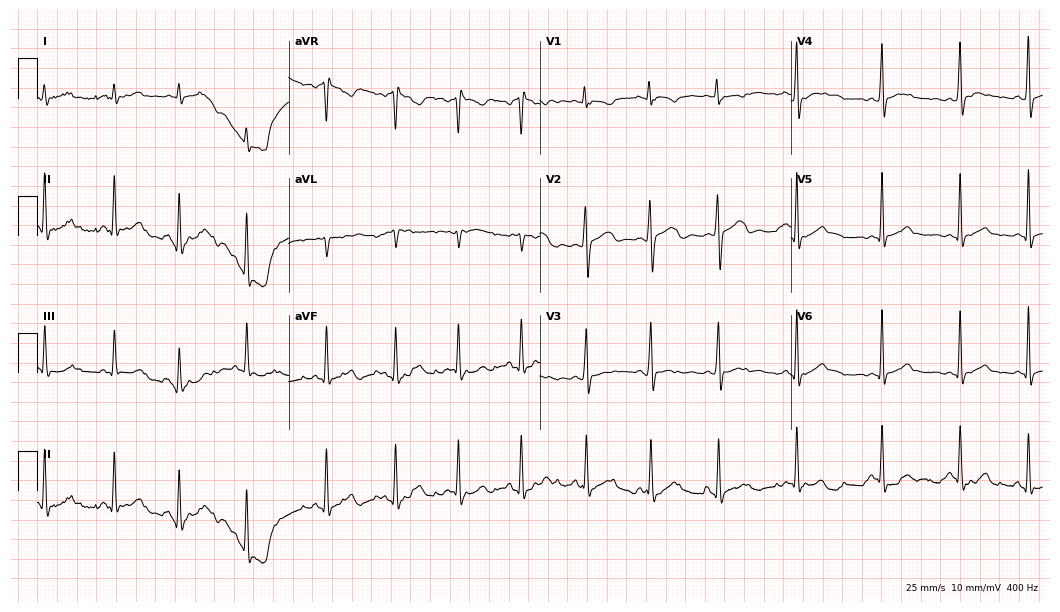
Electrocardiogram (10.2-second recording at 400 Hz), a female patient, 22 years old. Overall reading on record: normal ECG.